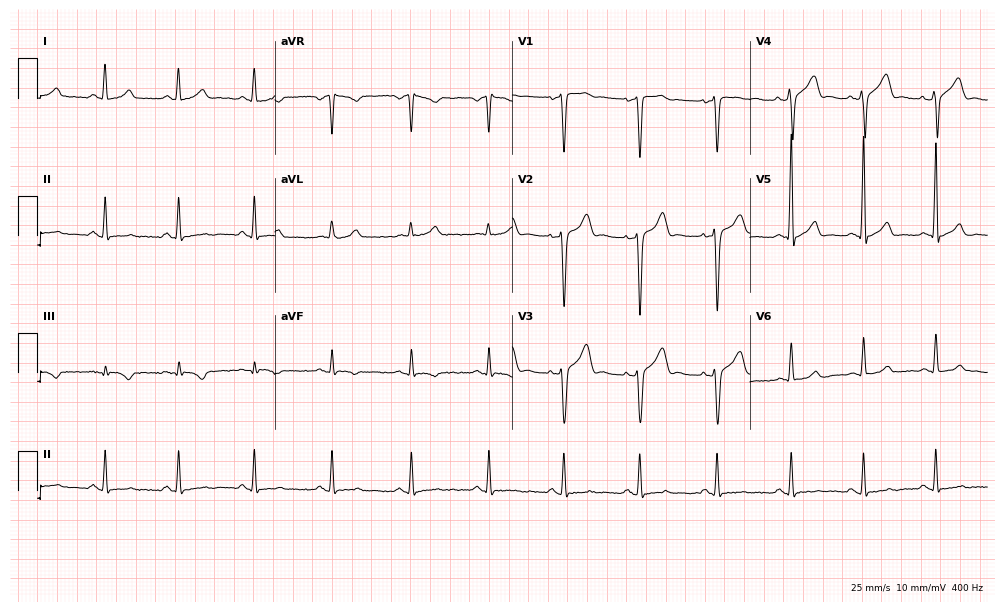
12-lead ECG from a 44-year-old male patient. Screened for six findings — first-degree AV block, right bundle branch block, left bundle branch block, sinus bradycardia, atrial fibrillation, sinus tachycardia — none is recorded. Other findings, if any, are not listed.